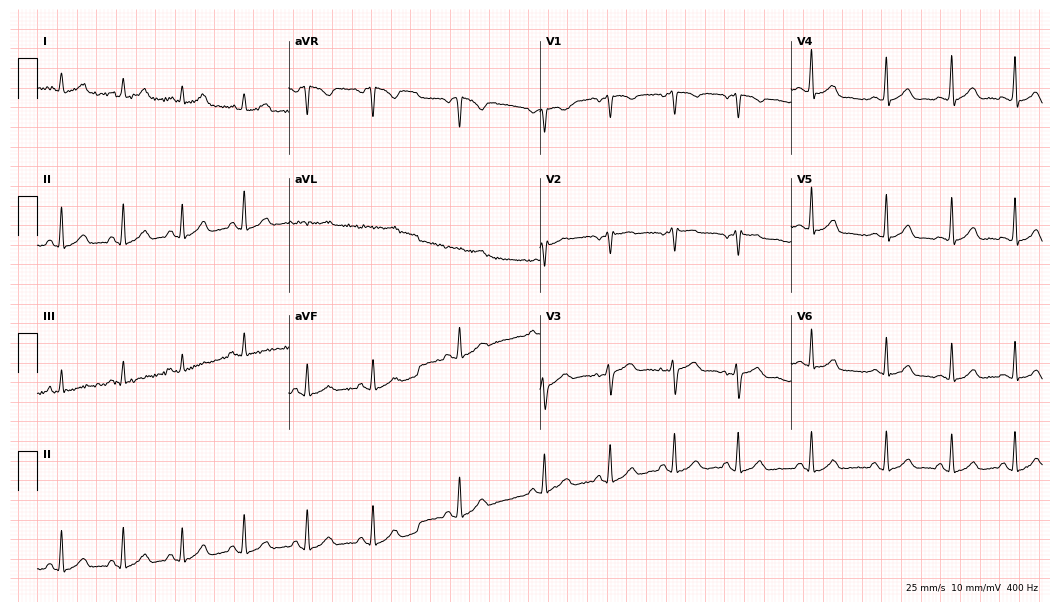
Resting 12-lead electrocardiogram. Patient: a 19-year-old female. Read as a normal ECG.